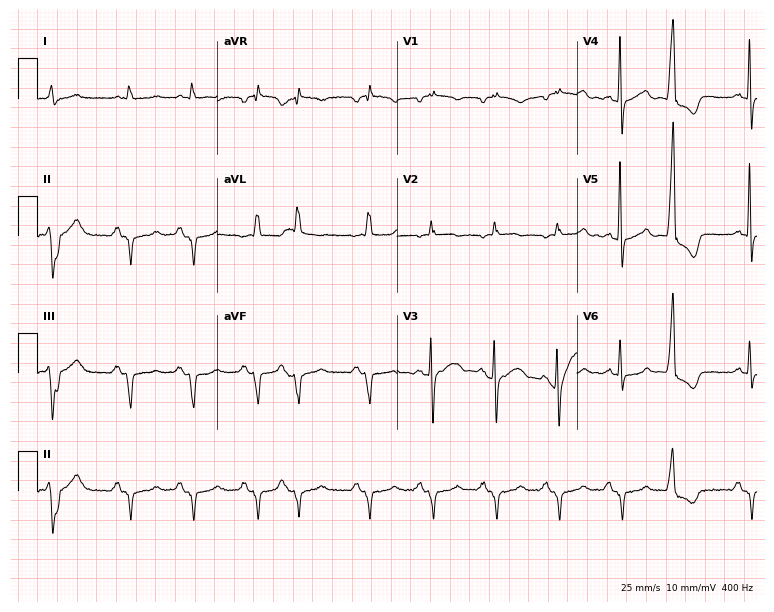
12-lead ECG from a male, 85 years old. No first-degree AV block, right bundle branch block, left bundle branch block, sinus bradycardia, atrial fibrillation or sinus tachycardia recorded for this tracing.